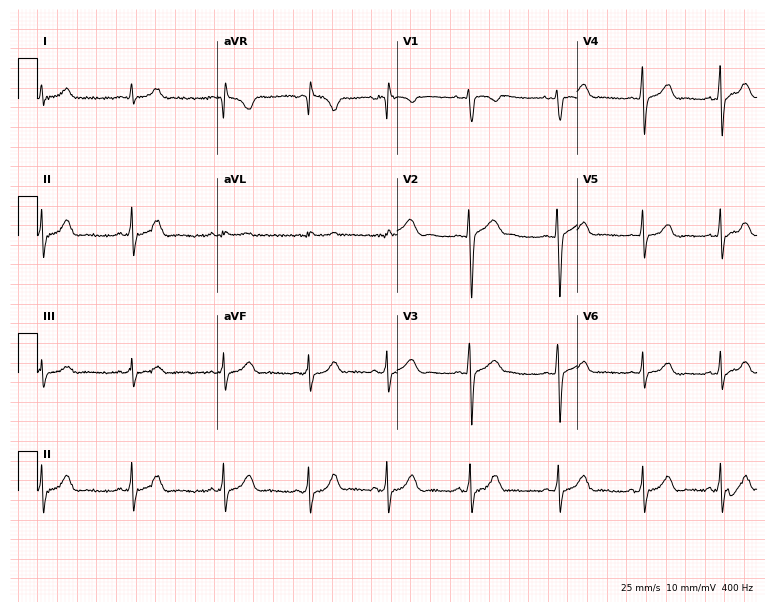
Standard 12-lead ECG recorded from a woman, 33 years old. None of these six findings is recorded: first-degree AV block, right bundle branch block, left bundle branch block, sinus bradycardia, atrial fibrillation, sinus tachycardia. Only these six findings were labelled.